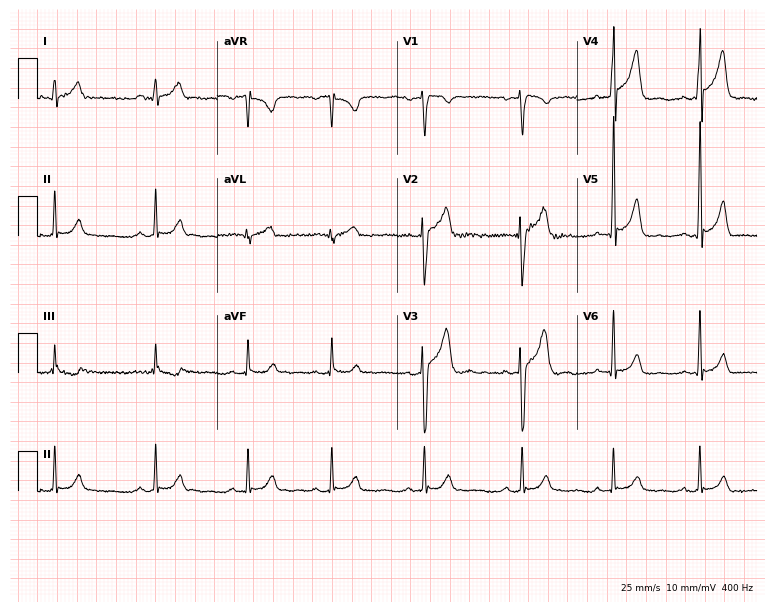
ECG (7.3-second recording at 400 Hz) — an 18-year-old man. Labelled as a normal ECG.